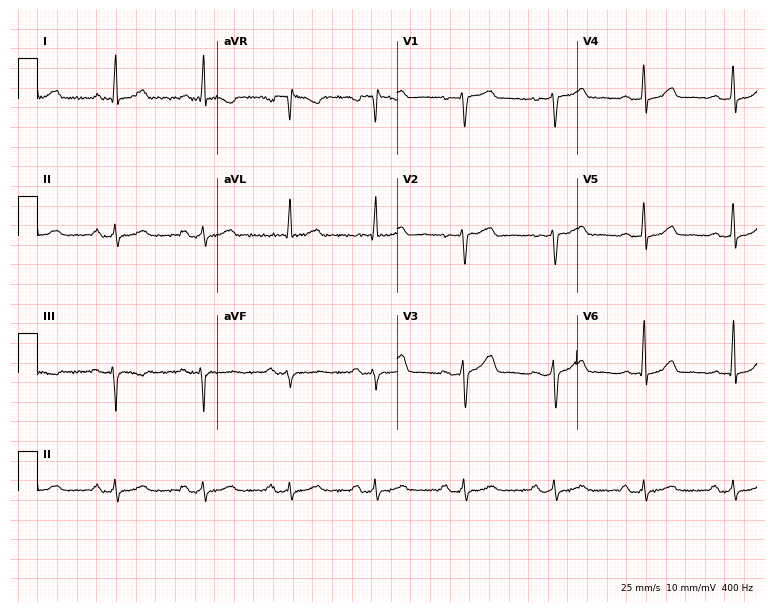
ECG — a woman, 56 years old. Screened for six findings — first-degree AV block, right bundle branch block (RBBB), left bundle branch block (LBBB), sinus bradycardia, atrial fibrillation (AF), sinus tachycardia — none is recorded.